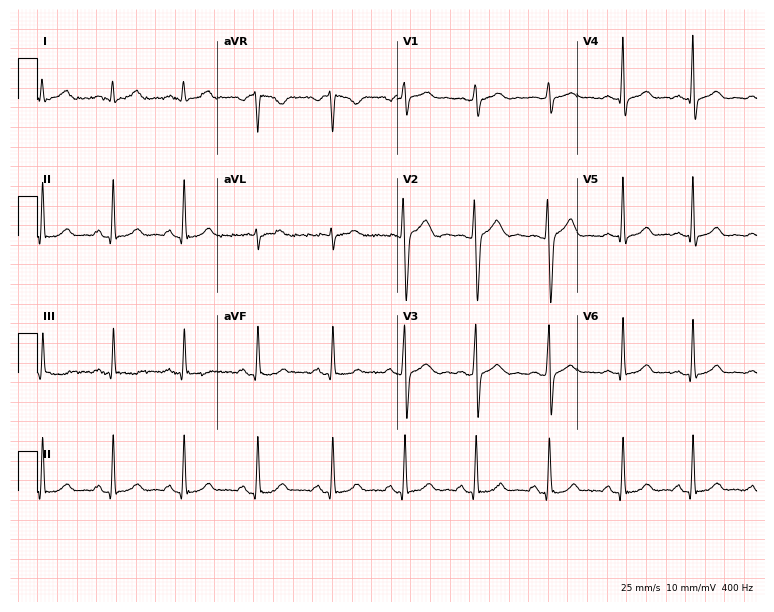
Standard 12-lead ECG recorded from a 33-year-old female (7.3-second recording at 400 Hz). None of these six findings is recorded: first-degree AV block, right bundle branch block (RBBB), left bundle branch block (LBBB), sinus bradycardia, atrial fibrillation (AF), sinus tachycardia. Findings outside these six are not listed.